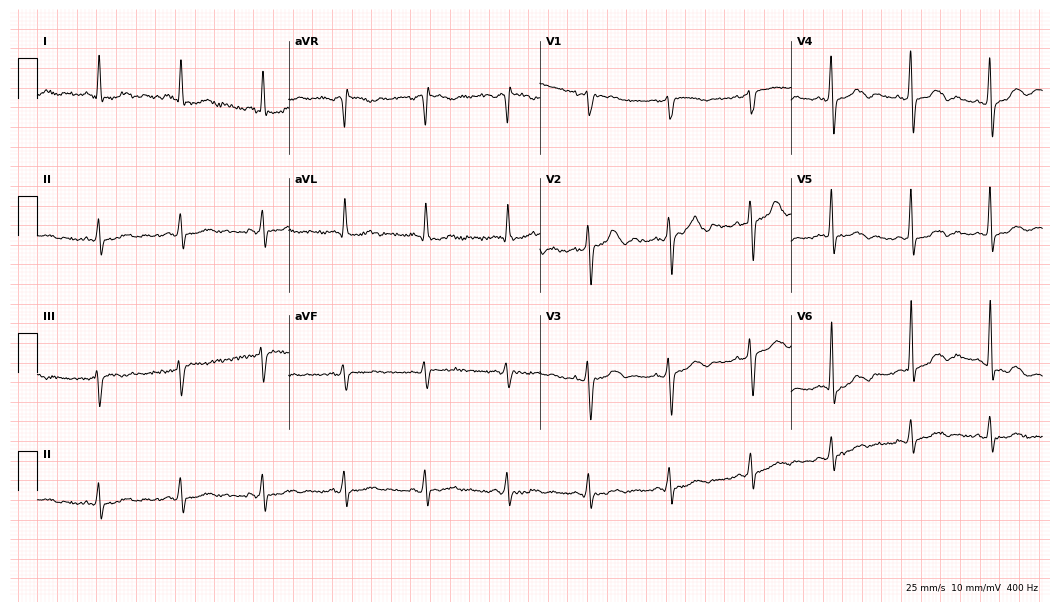
12-lead ECG from a 73-year-old female. Labelled as a normal ECG.